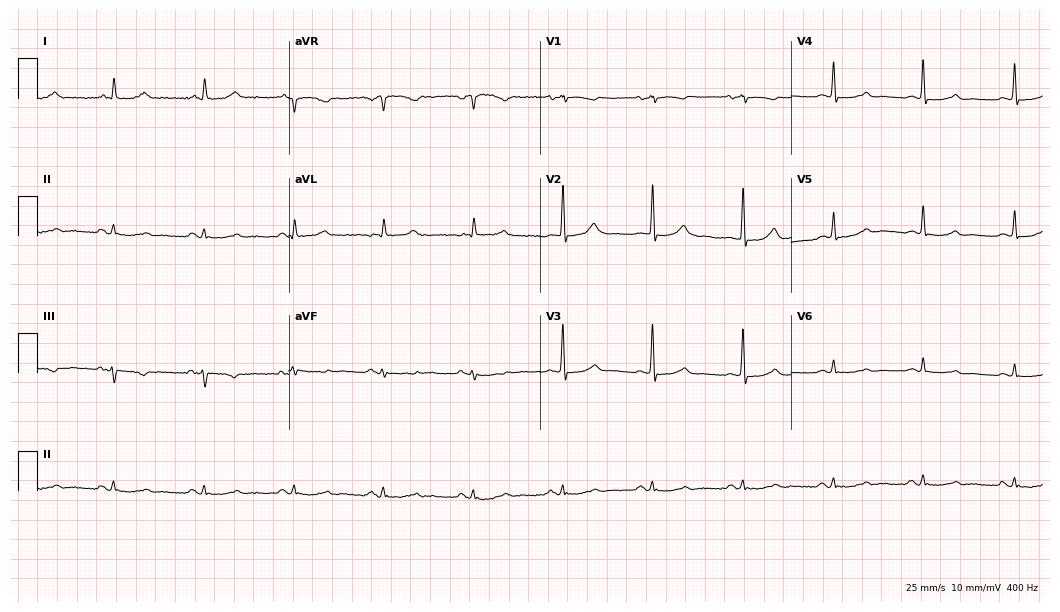
Electrocardiogram, a 74-year-old woman. Overall reading on record: normal ECG.